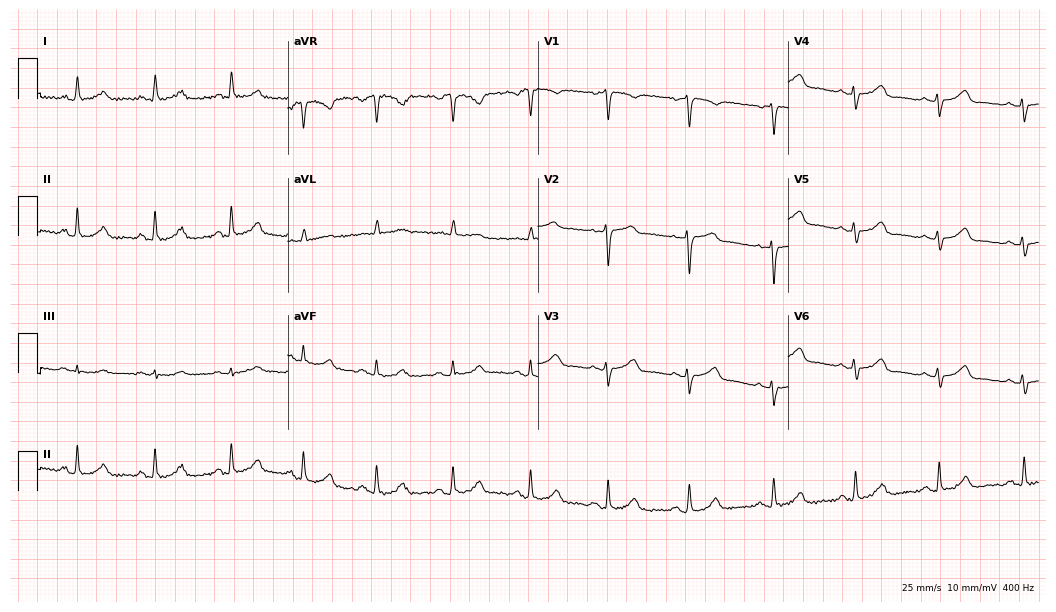
12-lead ECG (10.2-second recording at 400 Hz) from a 51-year-old woman. Labelled as a normal ECG.